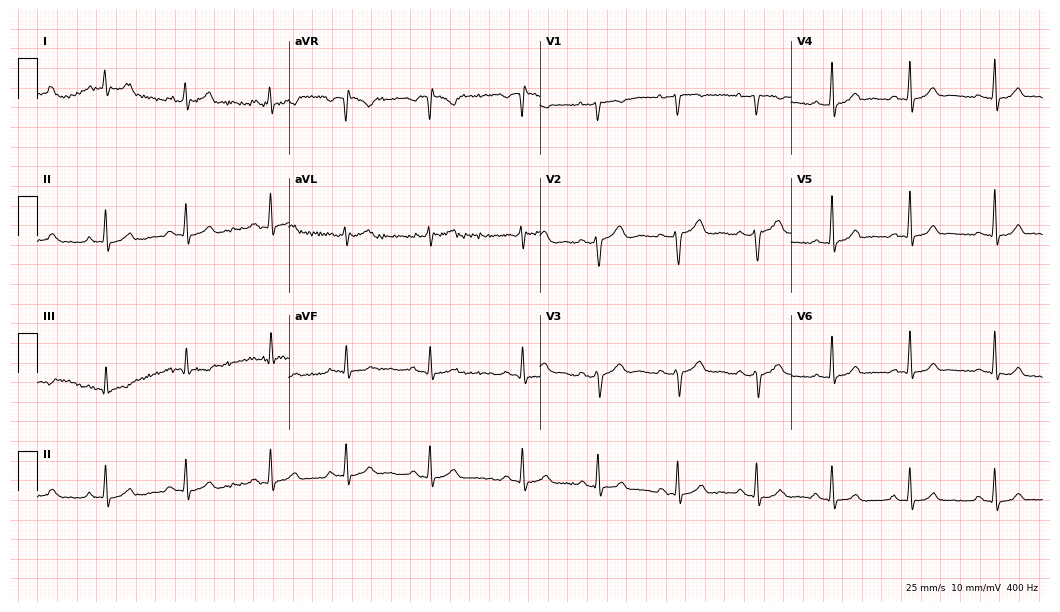
ECG (10.2-second recording at 400 Hz) — a woman, 19 years old. Labelled as a normal ECG.